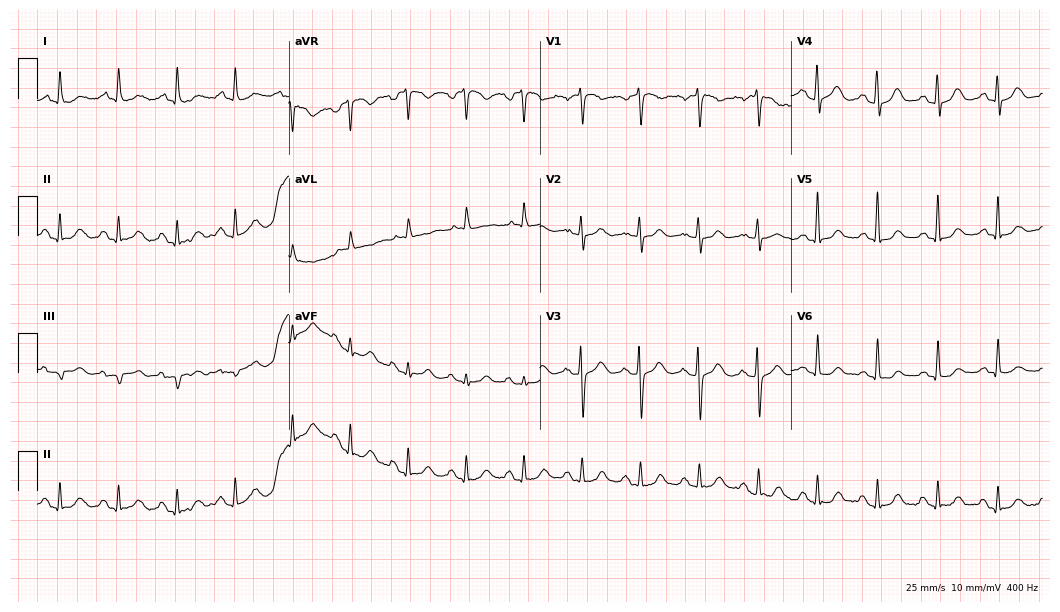
12-lead ECG from a female patient, 67 years old. Screened for six findings — first-degree AV block, right bundle branch block (RBBB), left bundle branch block (LBBB), sinus bradycardia, atrial fibrillation (AF), sinus tachycardia — none is recorded. Findings outside these six are not listed.